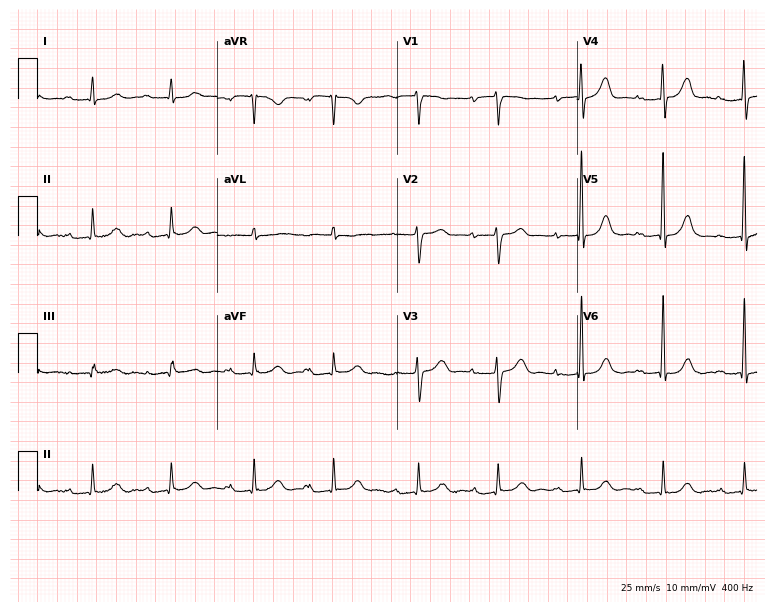
12-lead ECG from a 75-year-old female patient (7.3-second recording at 400 Hz). Shows first-degree AV block.